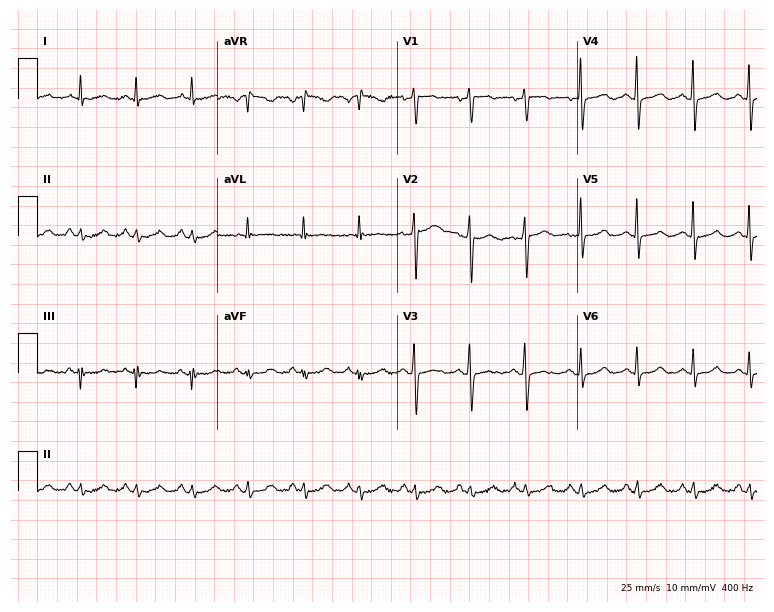
12-lead ECG from a 70-year-old female. Findings include sinus tachycardia (a sinus rate of 100 beats per minute or more).